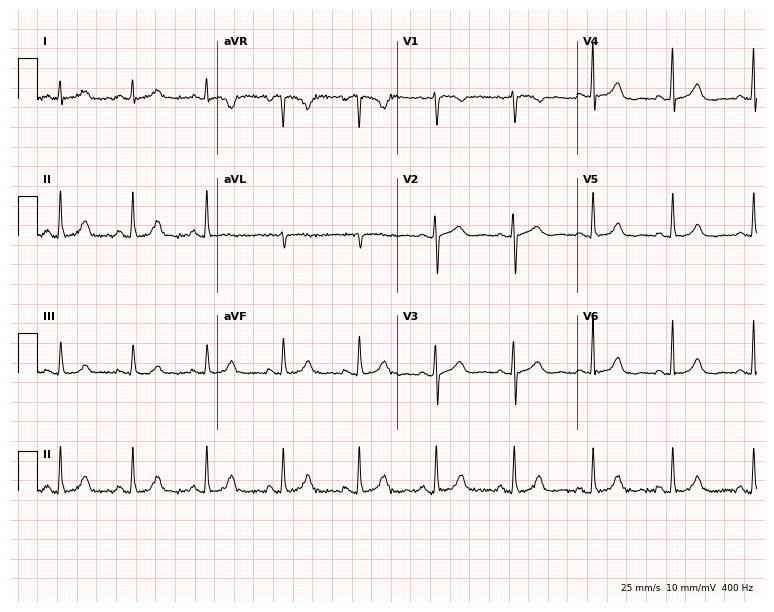
Resting 12-lead electrocardiogram (7.3-second recording at 400 Hz). Patient: a female, 59 years old. None of these six findings is recorded: first-degree AV block, right bundle branch block, left bundle branch block, sinus bradycardia, atrial fibrillation, sinus tachycardia. Other findings, if any, are not listed.